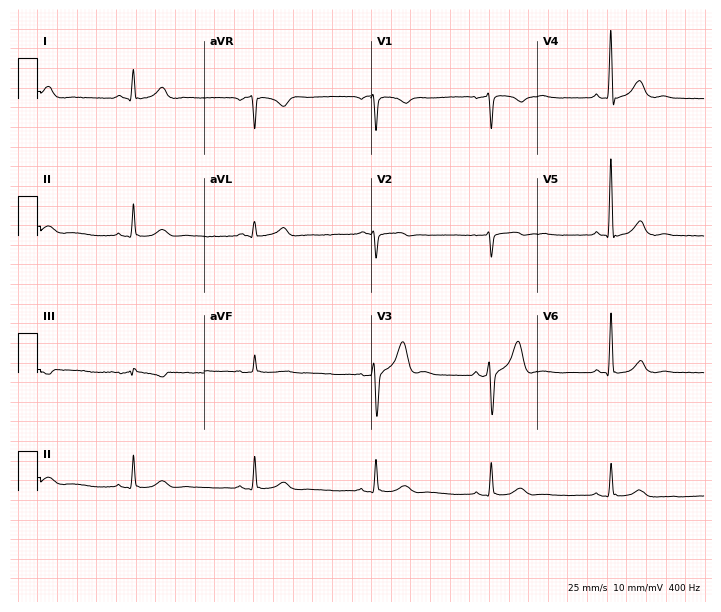
Standard 12-lead ECG recorded from a 45-year-old male (6.8-second recording at 400 Hz). None of these six findings is recorded: first-degree AV block, right bundle branch block (RBBB), left bundle branch block (LBBB), sinus bradycardia, atrial fibrillation (AF), sinus tachycardia.